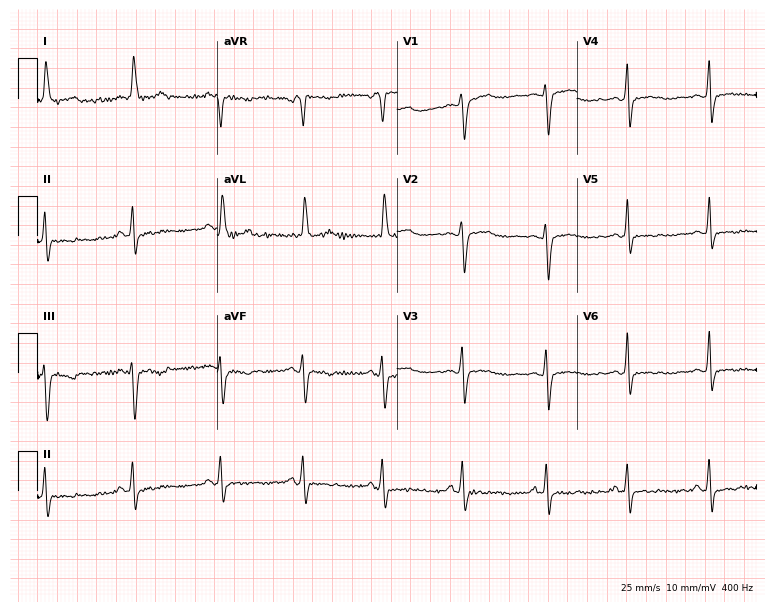
Electrocardiogram, a female patient, 66 years old. Of the six screened findings (first-degree AV block, right bundle branch block, left bundle branch block, sinus bradycardia, atrial fibrillation, sinus tachycardia), none is recorded. Only these six findings were labelled.